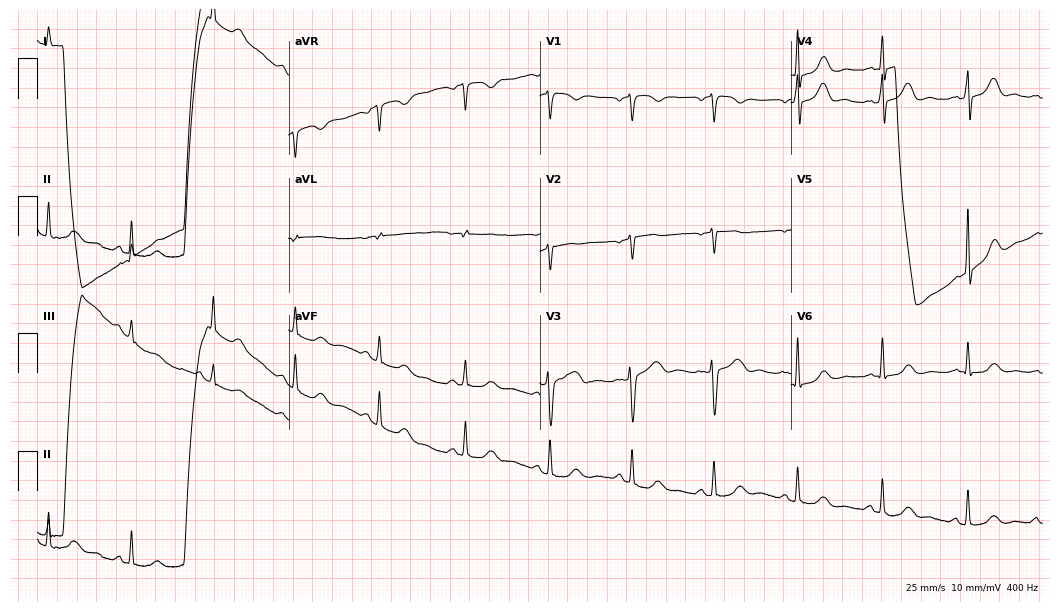
Electrocardiogram (10.2-second recording at 400 Hz), a 59-year-old female. Of the six screened findings (first-degree AV block, right bundle branch block, left bundle branch block, sinus bradycardia, atrial fibrillation, sinus tachycardia), none is recorded.